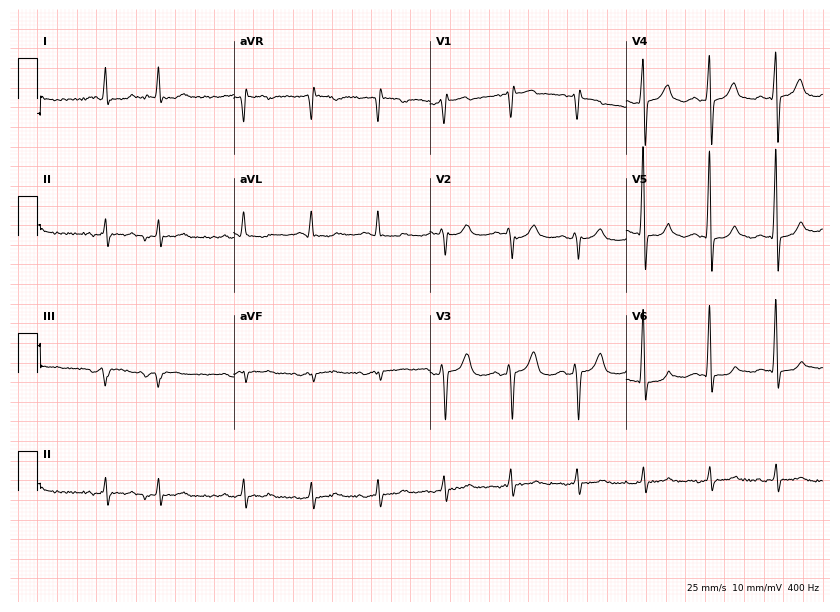
12-lead ECG from a male patient, 80 years old. Screened for six findings — first-degree AV block, right bundle branch block, left bundle branch block, sinus bradycardia, atrial fibrillation, sinus tachycardia — none is recorded.